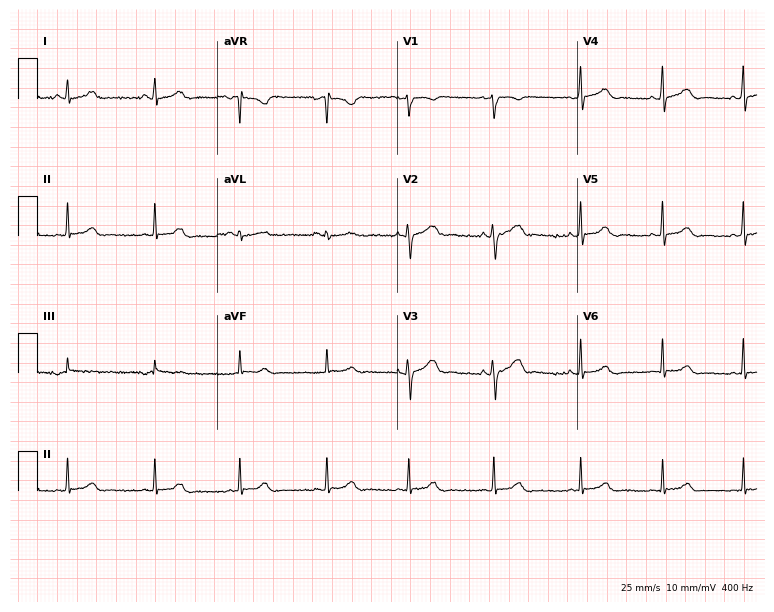
Electrocardiogram, a female, 17 years old. Of the six screened findings (first-degree AV block, right bundle branch block, left bundle branch block, sinus bradycardia, atrial fibrillation, sinus tachycardia), none is recorded.